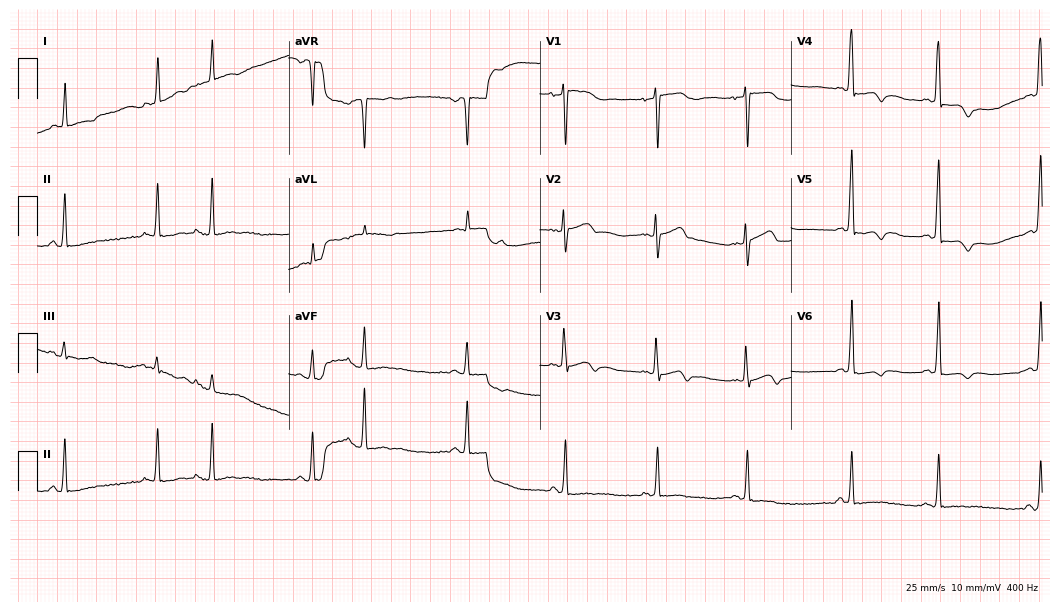
Standard 12-lead ECG recorded from a 77-year-old woman (10.2-second recording at 400 Hz). None of these six findings is recorded: first-degree AV block, right bundle branch block, left bundle branch block, sinus bradycardia, atrial fibrillation, sinus tachycardia.